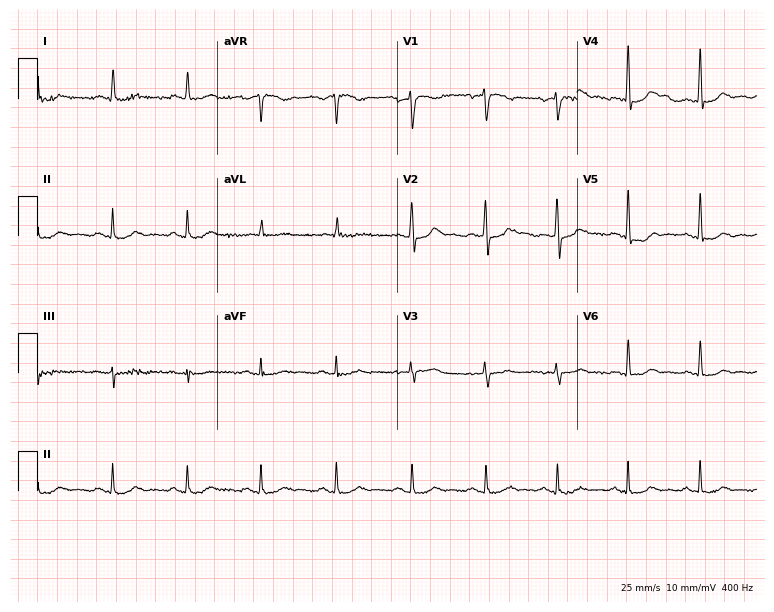
Electrocardiogram, a male patient, 65 years old. Of the six screened findings (first-degree AV block, right bundle branch block (RBBB), left bundle branch block (LBBB), sinus bradycardia, atrial fibrillation (AF), sinus tachycardia), none is recorded. Other findings, if any, are not listed.